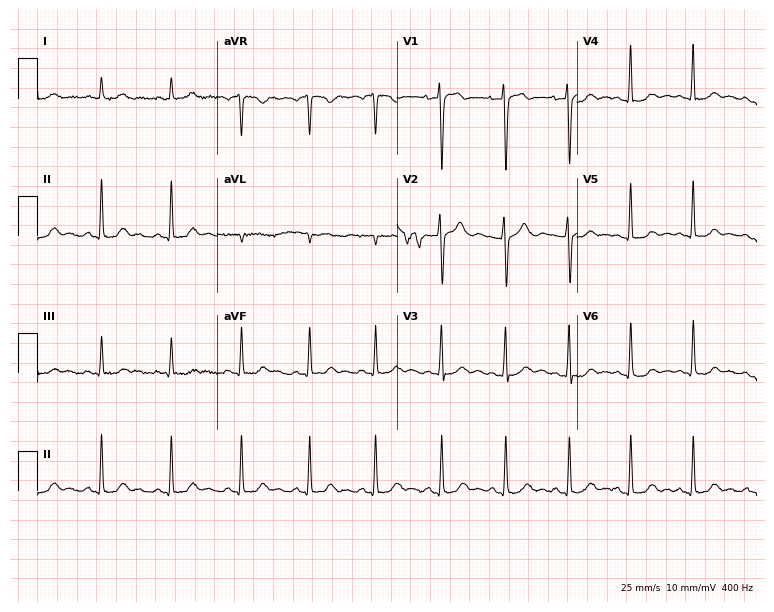
ECG (7.3-second recording at 400 Hz) — a woman, 22 years old. Screened for six findings — first-degree AV block, right bundle branch block, left bundle branch block, sinus bradycardia, atrial fibrillation, sinus tachycardia — none is recorded. Only these six findings were labelled.